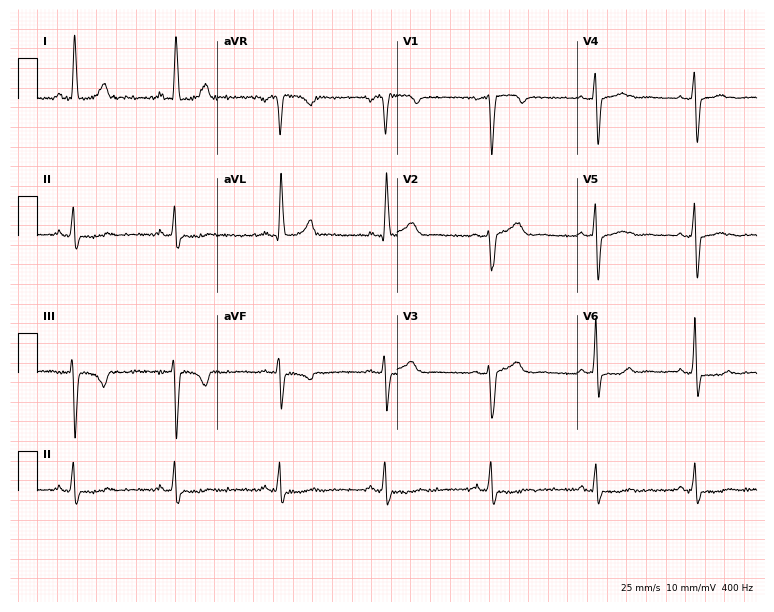
Electrocardiogram (7.3-second recording at 400 Hz), a male patient, 66 years old. Of the six screened findings (first-degree AV block, right bundle branch block, left bundle branch block, sinus bradycardia, atrial fibrillation, sinus tachycardia), none is recorded. Findings outside these six are not listed.